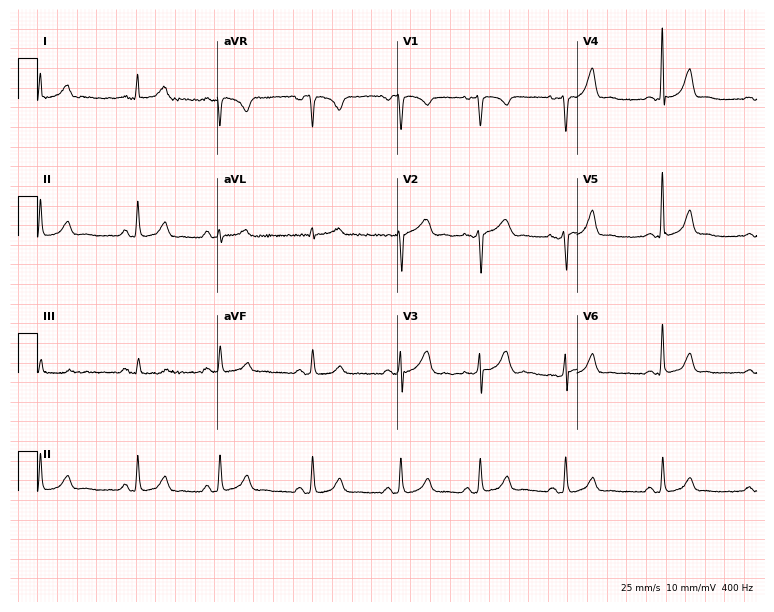
Standard 12-lead ECG recorded from a 39-year-old female. None of these six findings is recorded: first-degree AV block, right bundle branch block (RBBB), left bundle branch block (LBBB), sinus bradycardia, atrial fibrillation (AF), sinus tachycardia. Only these six findings were labelled.